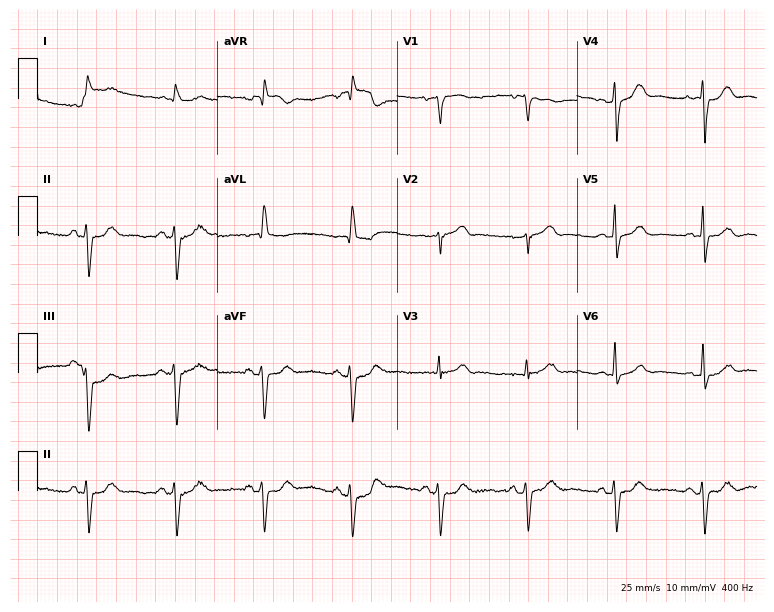
12-lead ECG from a male patient, 84 years old (7.3-second recording at 400 Hz). No first-degree AV block, right bundle branch block (RBBB), left bundle branch block (LBBB), sinus bradycardia, atrial fibrillation (AF) or sinus tachycardia recorded for this tracing. Only these six findings were labelled.